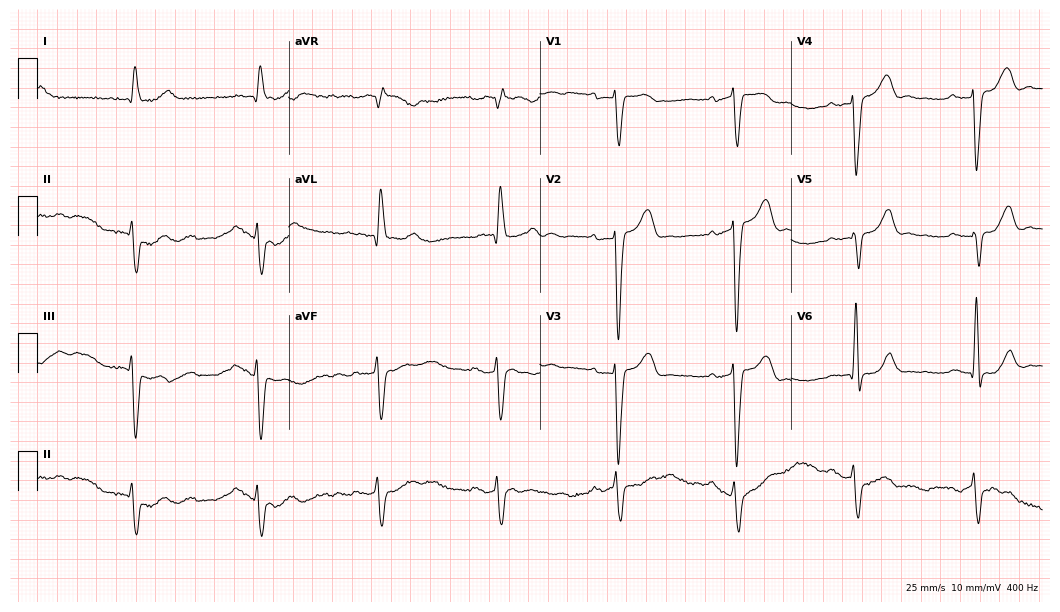
Resting 12-lead electrocardiogram. Patient: a male, 84 years old. None of these six findings is recorded: first-degree AV block, right bundle branch block, left bundle branch block, sinus bradycardia, atrial fibrillation, sinus tachycardia.